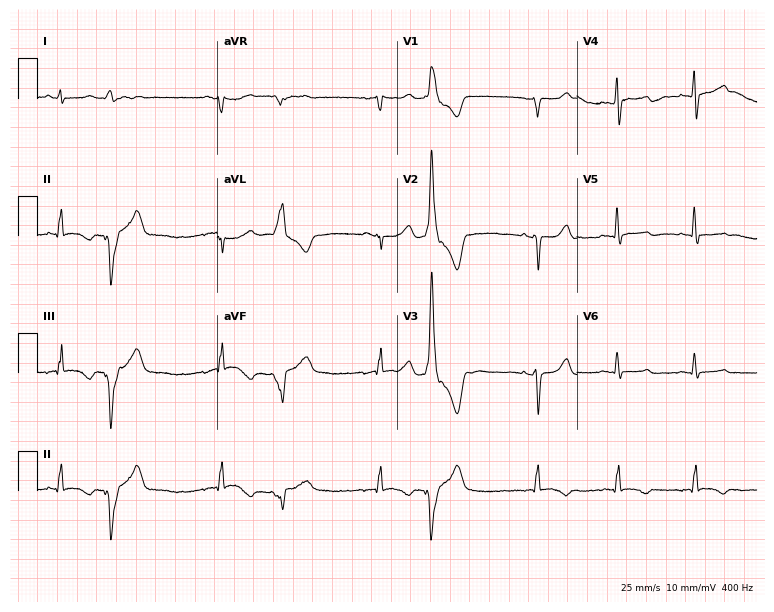
Electrocardiogram, a 49-year-old female. Of the six screened findings (first-degree AV block, right bundle branch block, left bundle branch block, sinus bradycardia, atrial fibrillation, sinus tachycardia), none is recorded. Findings outside these six are not listed.